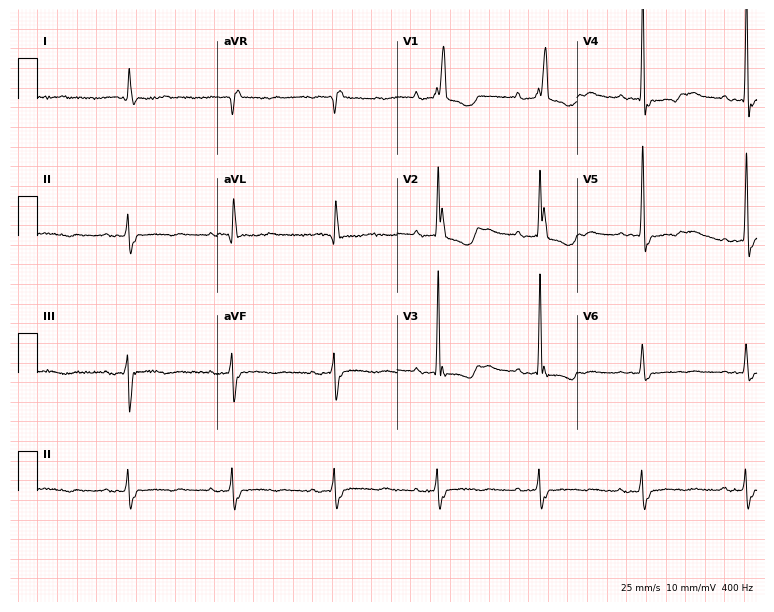
ECG (7.3-second recording at 400 Hz) — an 81-year-old male patient. Findings include right bundle branch block (RBBB).